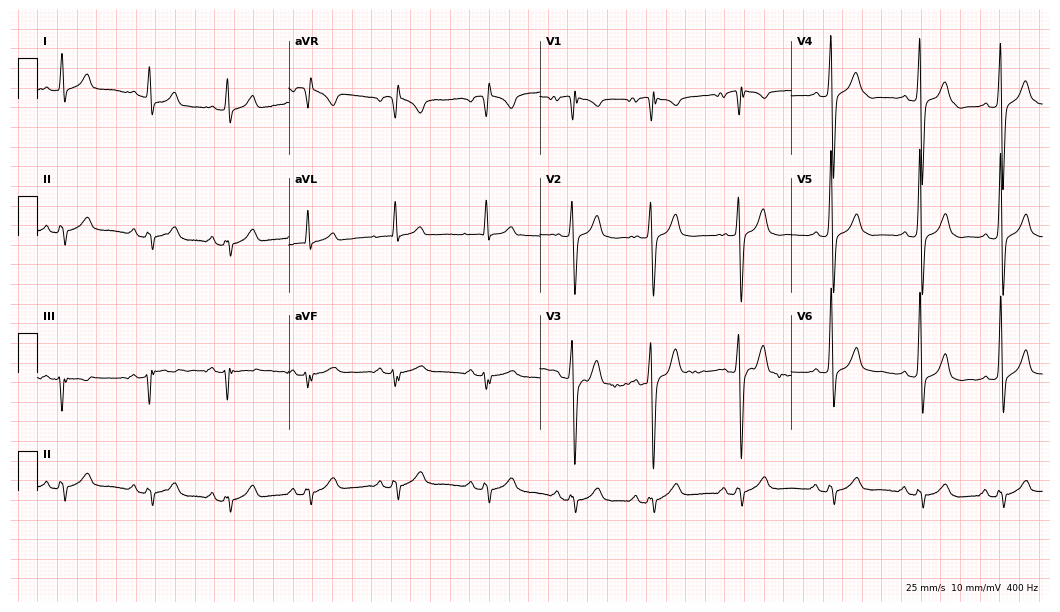
12-lead ECG (10.2-second recording at 400 Hz) from a man, 17 years old. Screened for six findings — first-degree AV block, right bundle branch block, left bundle branch block, sinus bradycardia, atrial fibrillation, sinus tachycardia — none is recorded.